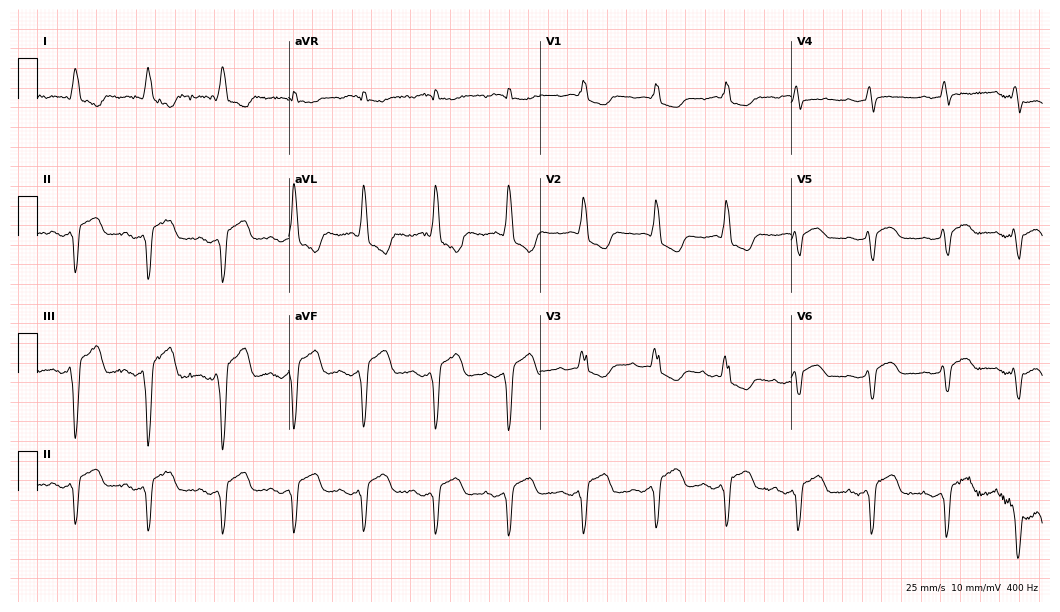
Resting 12-lead electrocardiogram (10.2-second recording at 400 Hz). Patient: a 71-year-old woman. None of these six findings is recorded: first-degree AV block, right bundle branch block, left bundle branch block, sinus bradycardia, atrial fibrillation, sinus tachycardia. Other findings, if any, are not listed.